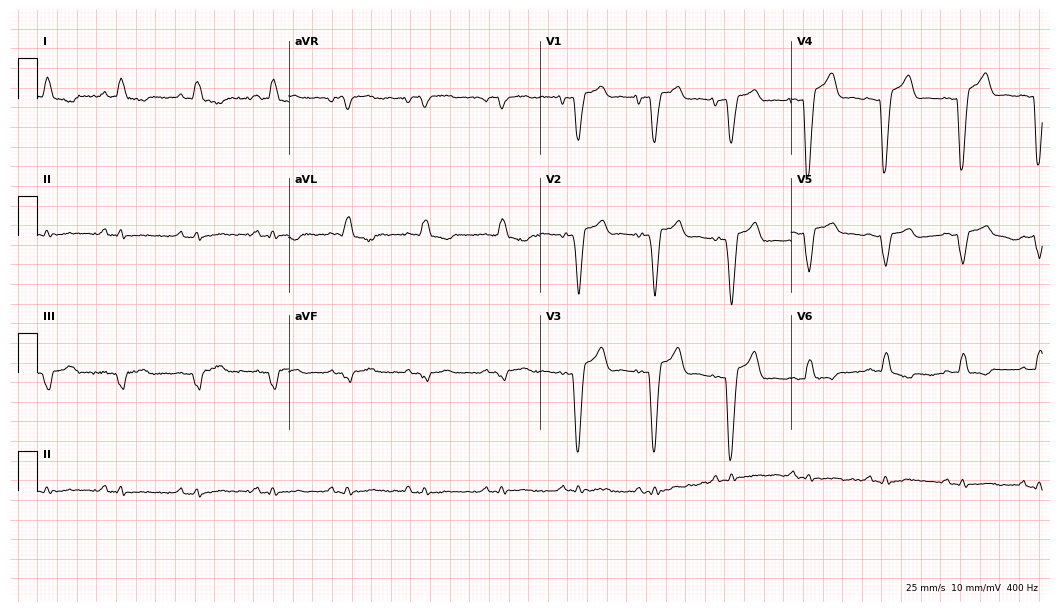
Electrocardiogram, a 62-year-old male. Interpretation includes left bundle branch block (LBBB).